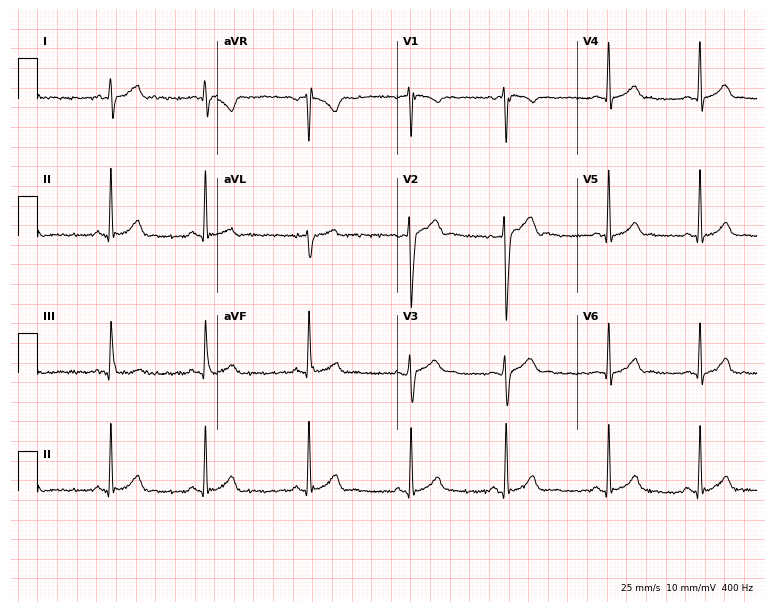
Resting 12-lead electrocardiogram. Patient: a 19-year-old female. Read as a normal ECG.